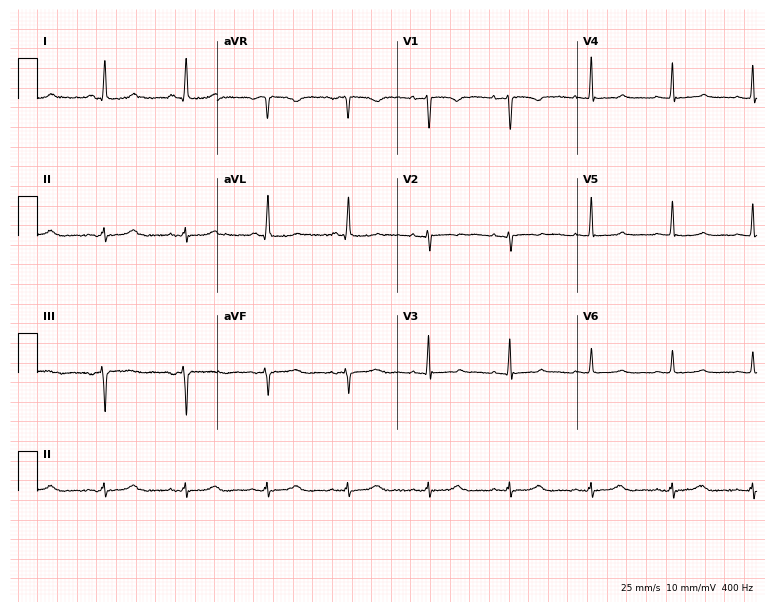
12-lead ECG from a 65-year-old female patient. Screened for six findings — first-degree AV block, right bundle branch block, left bundle branch block, sinus bradycardia, atrial fibrillation, sinus tachycardia — none is recorded.